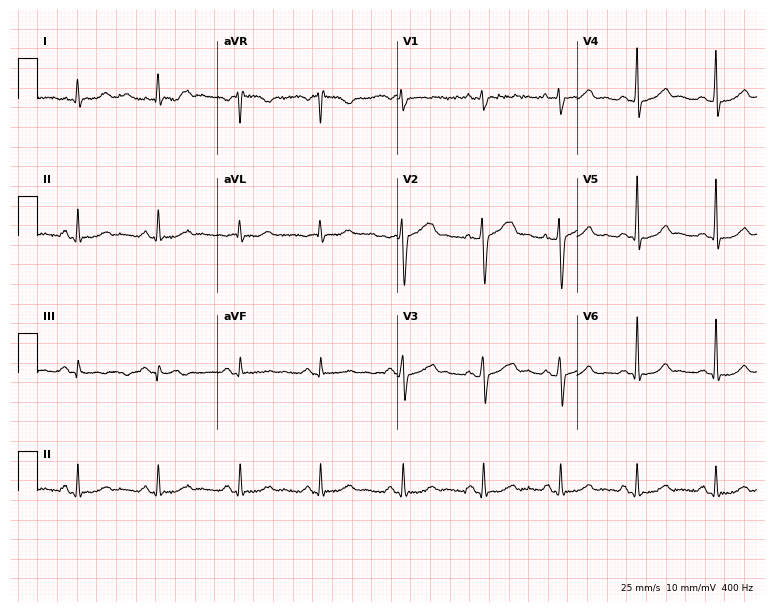
12-lead ECG from a male, 45 years old. Labelled as a normal ECG.